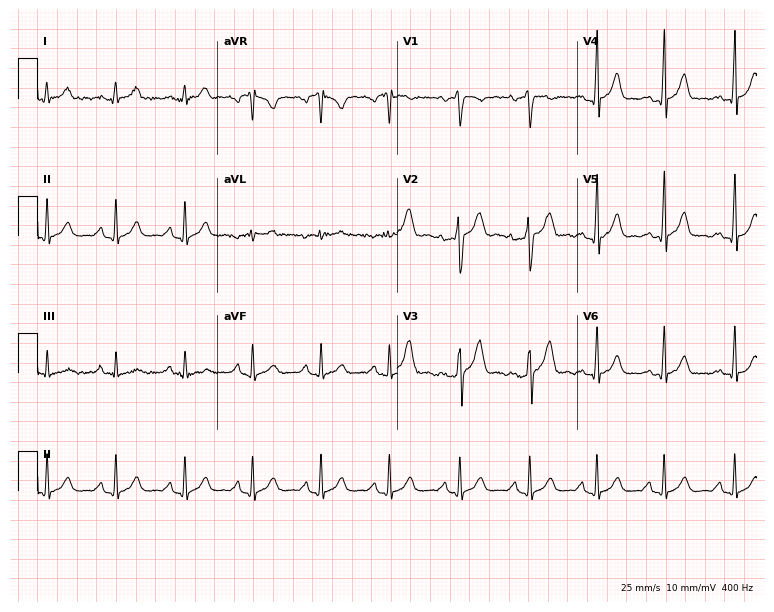
Standard 12-lead ECG recorded from a 34-year-old male patient. Read as a normal ECG.